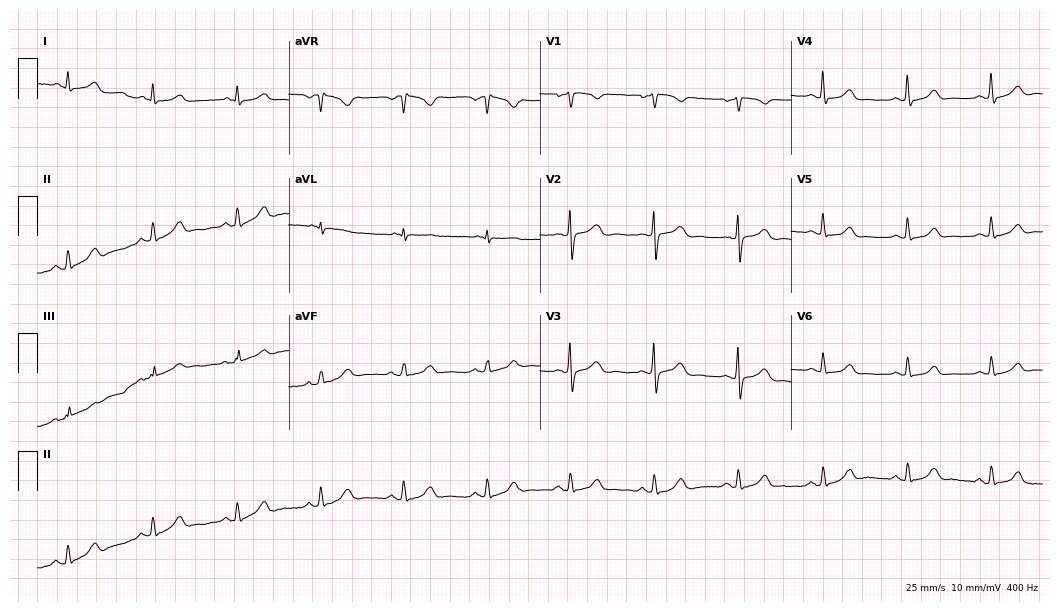
12-lead ECG from a woman, 74 years old (10.2-second recording at 400 Hz). Recorded interpretation: within normal limits.